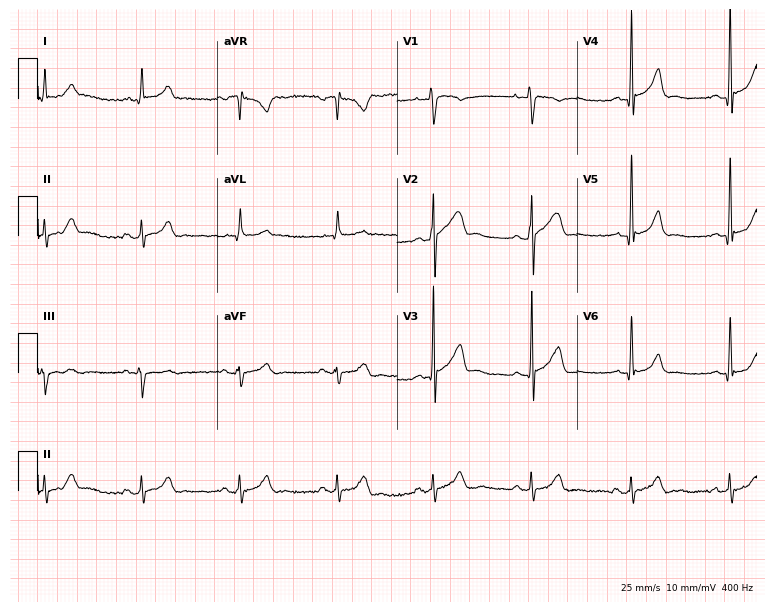
ECG (7.3-second recording at 400 Hz) — a male, 36 years old. Screened for six findings — first-degree AV block, right bundle branch block, left bundle branch block, sinus bradycardia, atrial fibrillation, sinus tachycardia — none is recorded. Findings outside these six are not listed.